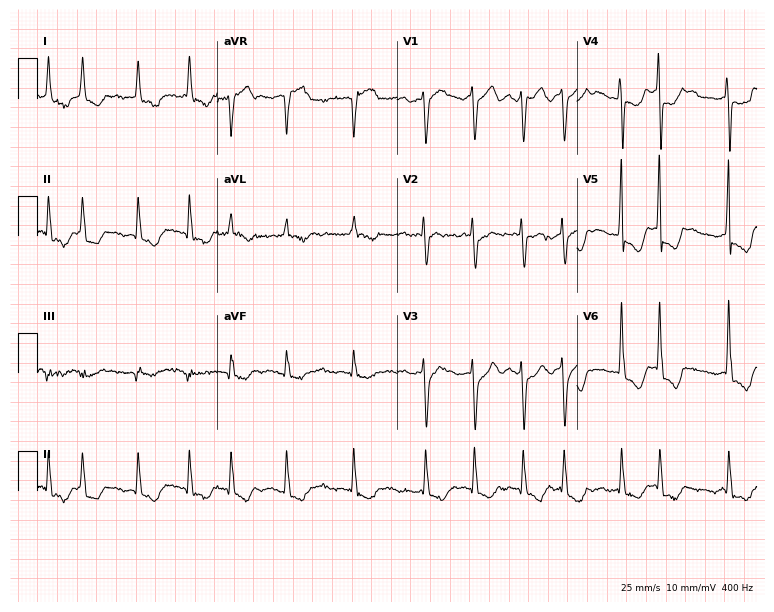
Standard 12-lead ECG recorded from a woman, 77 years old. The tracing shows sinus tachycardia (a sinus rate of 100 beats per minute or more).